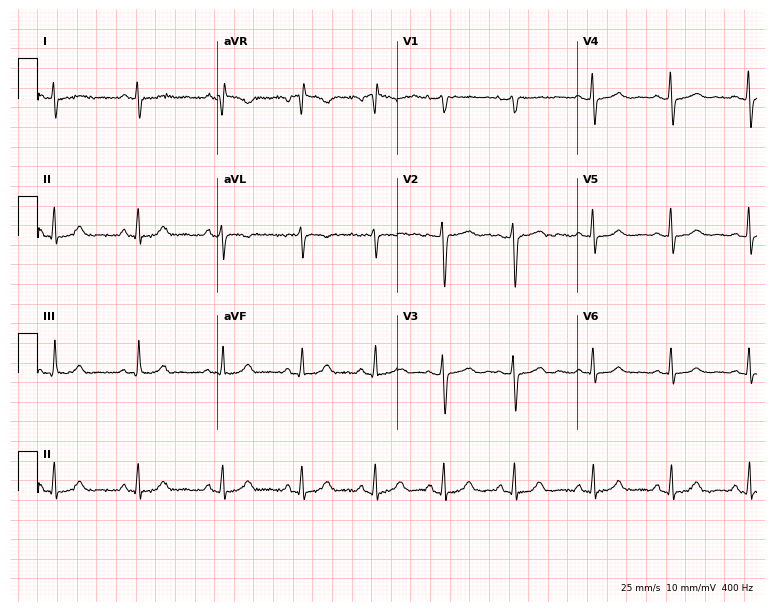
Resting 12-lead electrocardiogram. Patient: a 36-year-old female. None of these six findings is recorded: first-degree AV block, right bundle branch block (RBBB), left bundle branch block (LBBB), sinus bradycardia, atrial fibrillation (AF), sinus tachycardia. Other findings, if any, are not listed.